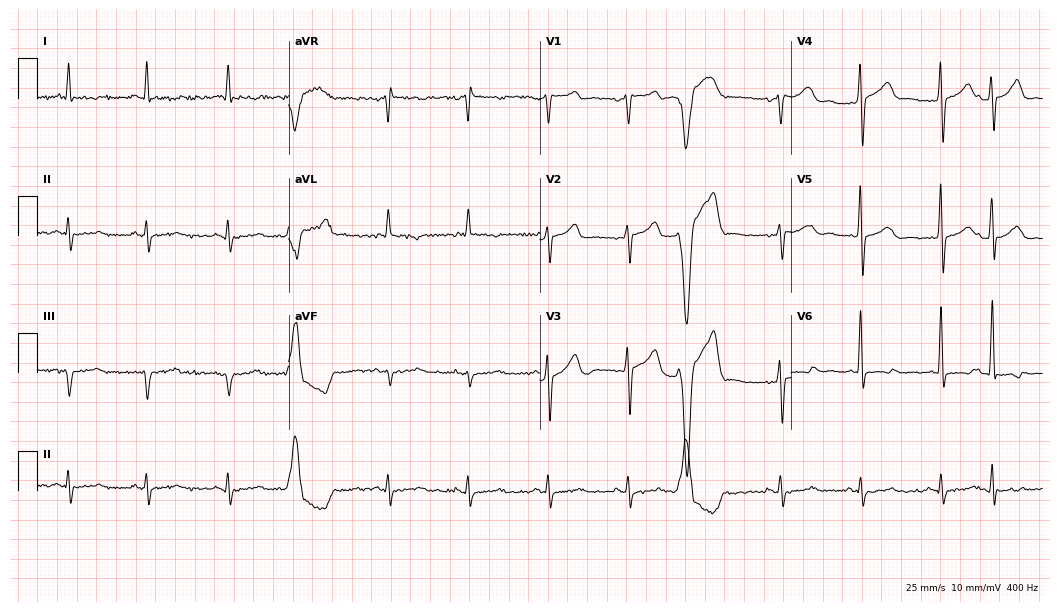
Electrocardiogram (10.2-second recording at 400 Hz), a male, 62 years old. Of the six screened findings (first-degree AV block, right bundle branch block (RBBB), left bundle branch block (LBBB), sinus bradycardia, atrial fibrillation (AF), sinus tachycardia), none is recorded. Findings outside these six are not listed.